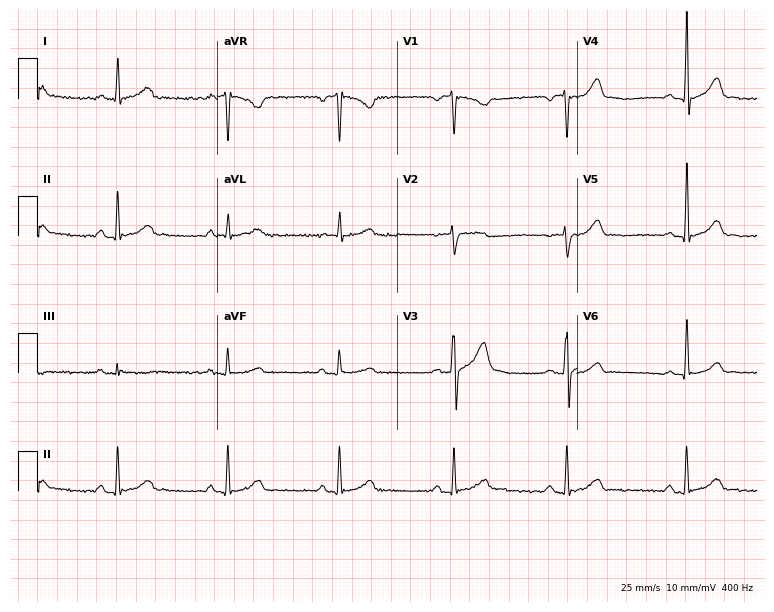
Standard 12-lead ECG recorded from a male, 35 years old. Read as a normal ECG.